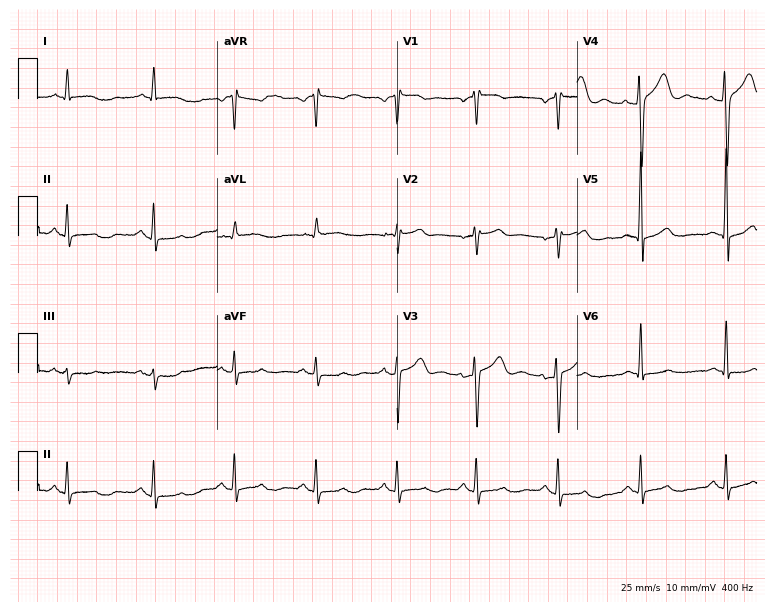
12-lead ECG from a 49-year-old man (7.3-second recording at 400 Hz). No first-degree AV block, right bundle branch block, left bundle branch block, sinus bradycardia, atrial fibrillation or sinus tachycardia recorded for this tracing. Other findings, if any, are not listed.